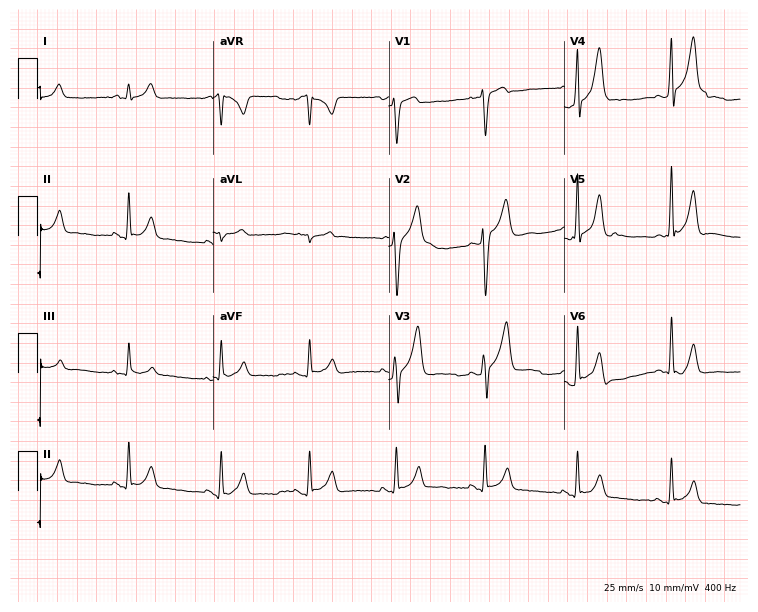
ECG (7.2-second recording at 400 Hz) — a male, 25 years old. Labelled as a normal ECG.